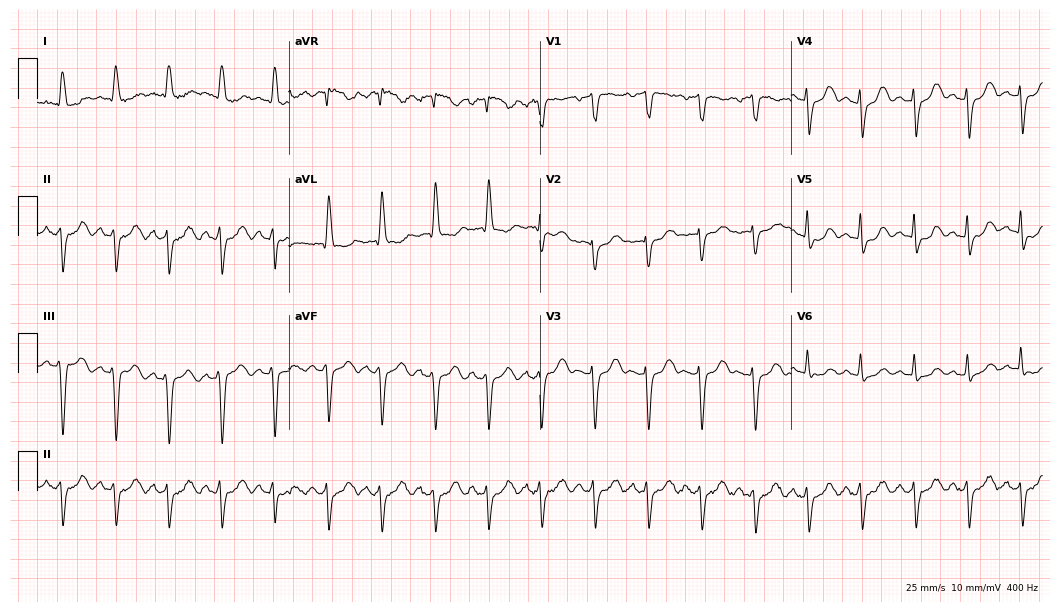
12-lead ECG from a 48-year-old female (10.2-second recording at 400 Hz). No first-degree AV block, right bundle branch block (RBBB), left bundle branch block (LBBB), sinus bradycardia, atrial fibrillation (AF) or sinus tachycardia recorded for this tracing.